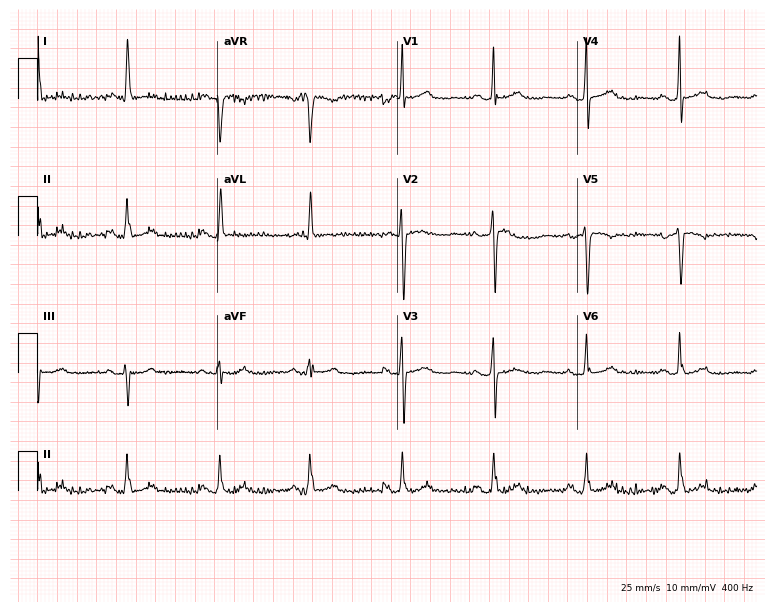
ECG (7.3-second recording at 400 Hz) — a female patient, 80 years old. Screened for six findings — first-degree AV block, right bundle branch block, left bundle branch block, sinus bradycardia, atrial fibrillation, sinus tachycardia — none is recorded. Only these six findings were labelled.